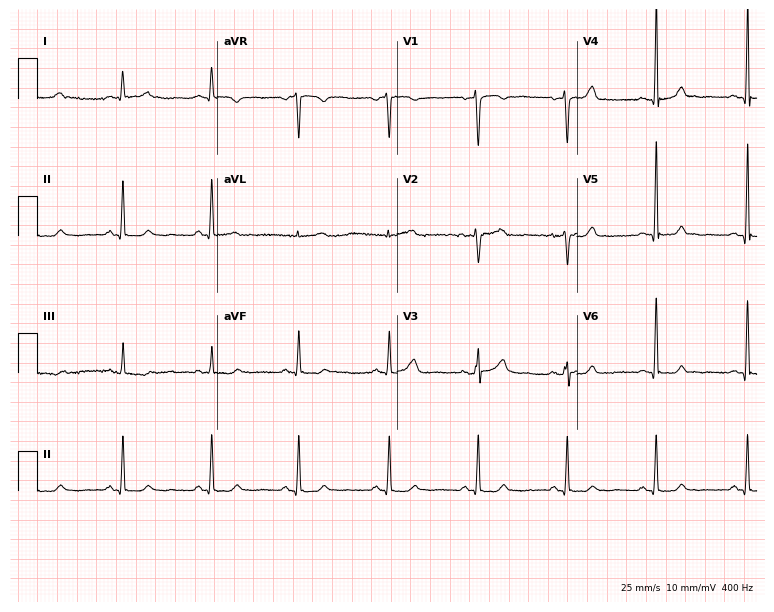
Electrocardiogram (7.3-second recording at 400 Hz), a 45-year-old female. Overall reading on record: normal ECG.